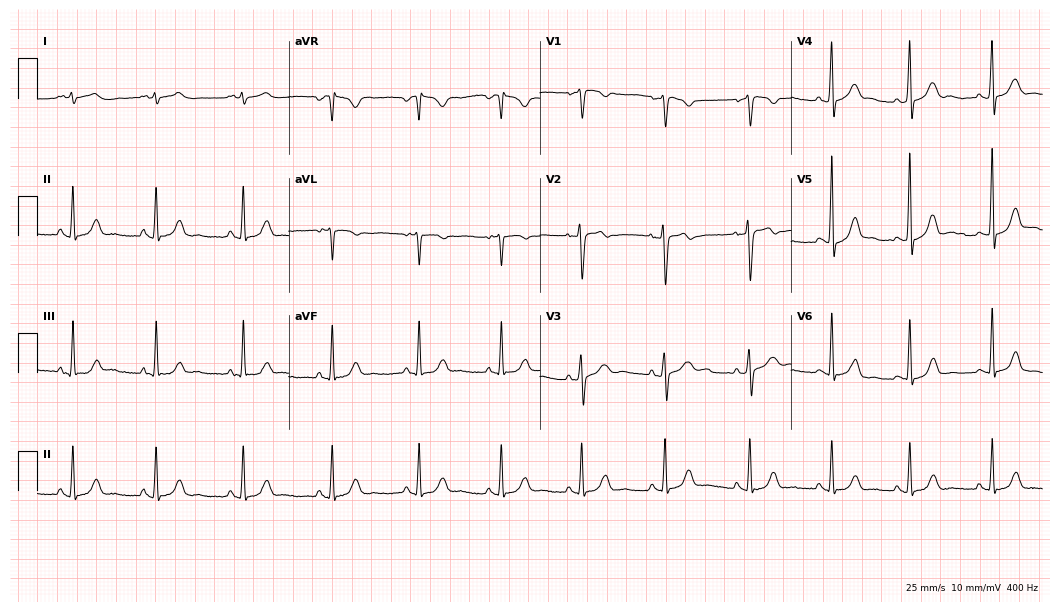
12-lead ECG from a 23-year-old female (10.2-second recording at 400 Hz). Recorded interpretation: within normal limits.